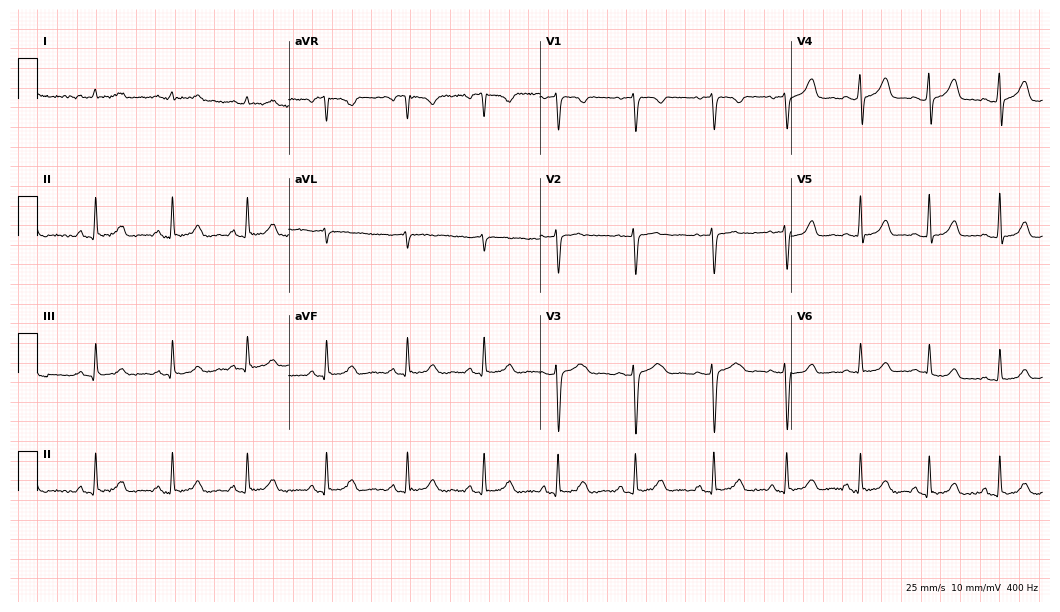
12-lead ECG from a 21-year-old female patient. Recorded interpretation: within normal limits.